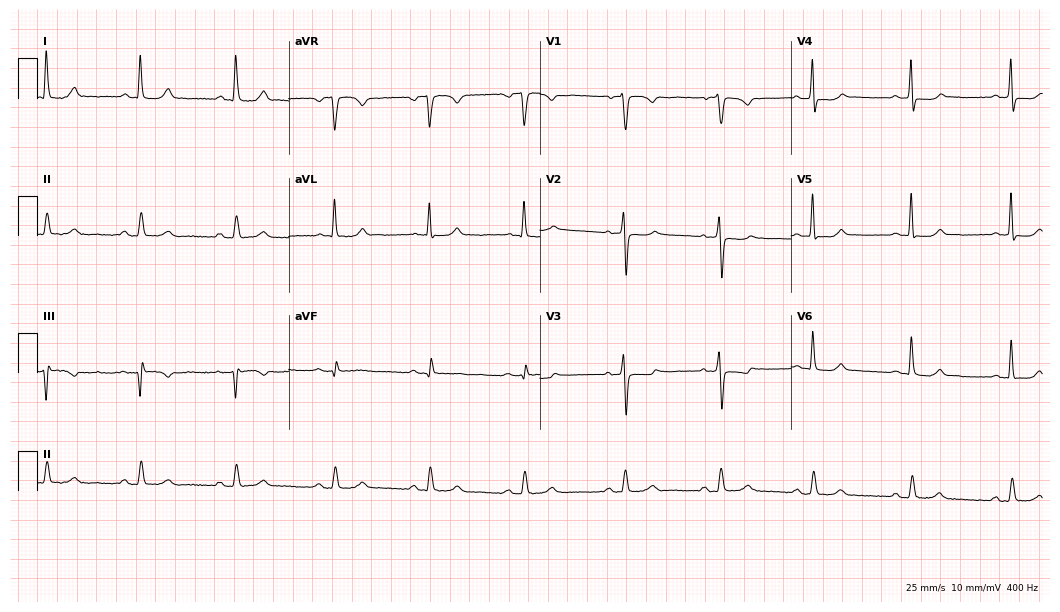
ECG — a 73-year-old female patient. Screened for six findings — first-degree AV block, right bundle branch block, left bundle branch block, sinus bradycardia, atrial fibrillation, sinus tachycardia — none is recorded. Other findings, if any, are not listed.